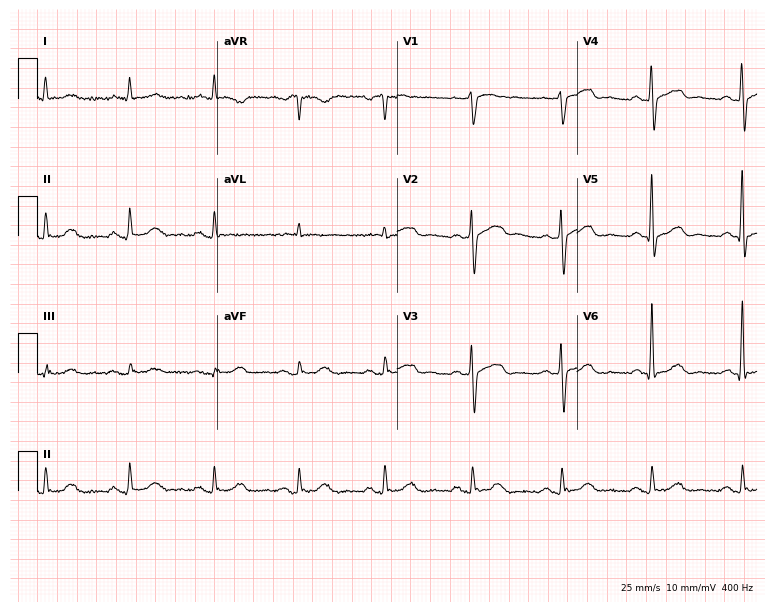
Resting 12-lead electrocardiogram (7.3-second recording at 400 Hz). Patient: an 81-year-old male. None of these six findings is recorded: first-degree AV block, right bundle branch block, left bundle branch block, sinus bradycardia, atrial fibrillation, sinus tachycardia. Findings outside these six are not listed.